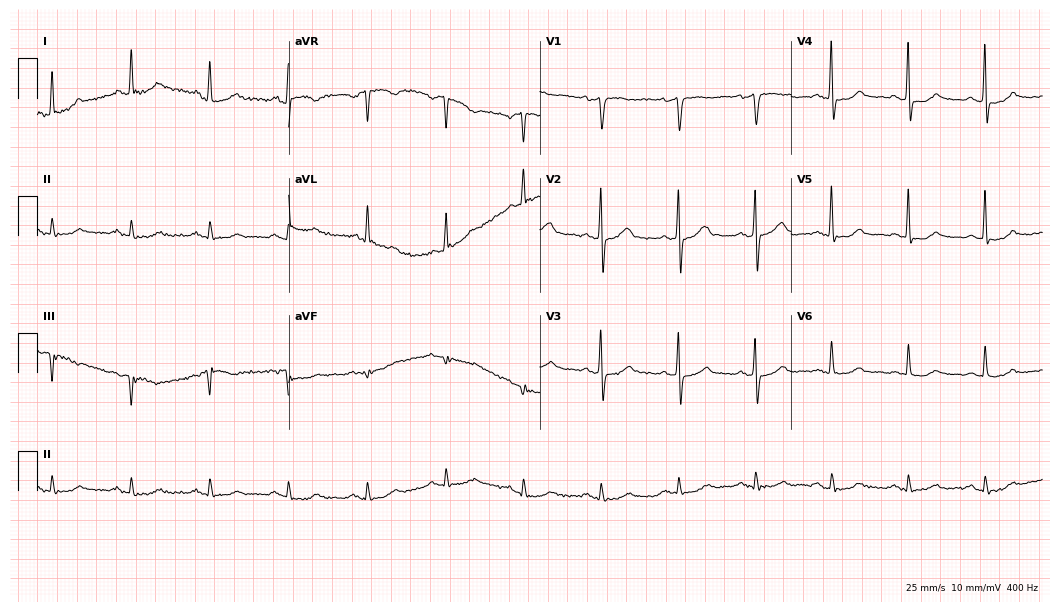
12-lead ECG (10.2-second recording at 400 Hz) from a man, 73 years old. Labelled as a normal ECG.